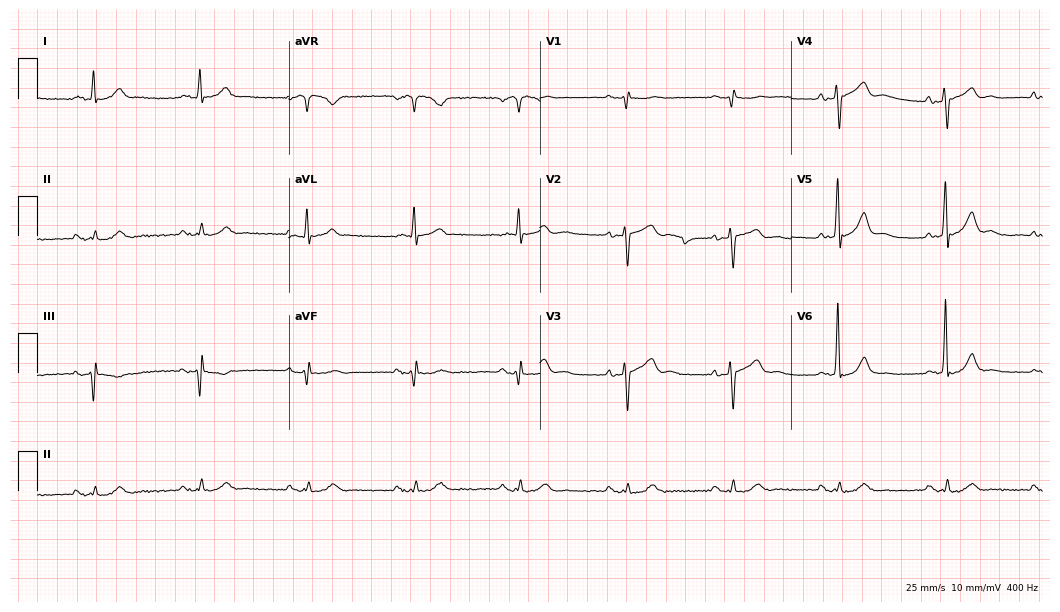
12-lead ECG (10.2-second recording at 400 Hz) from a 63-year-old male. Labelled as a normal ECG.